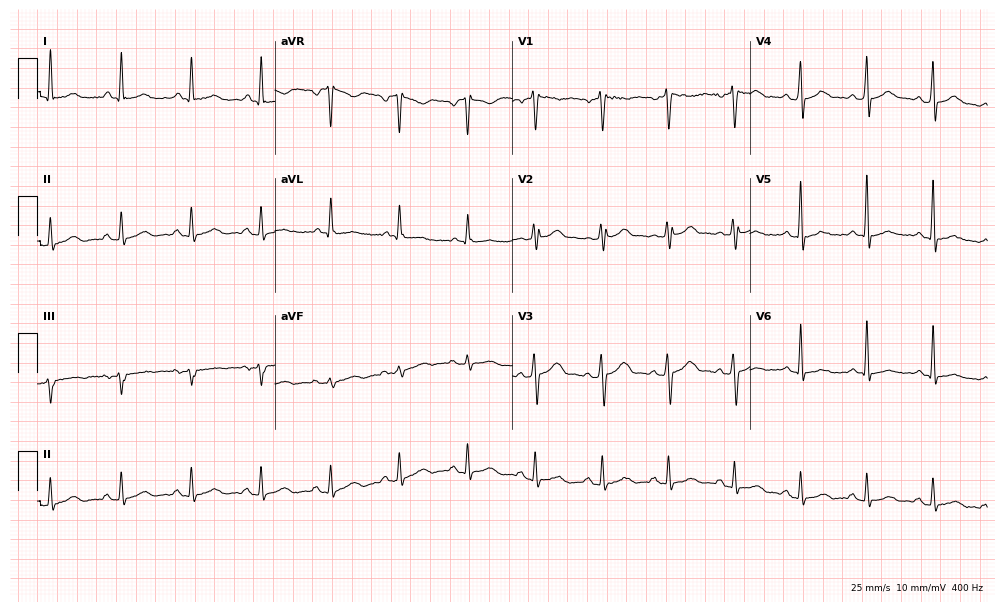
Standard 12-lead ECG recorded from a 39-year-old man. Read as a normal ECG.